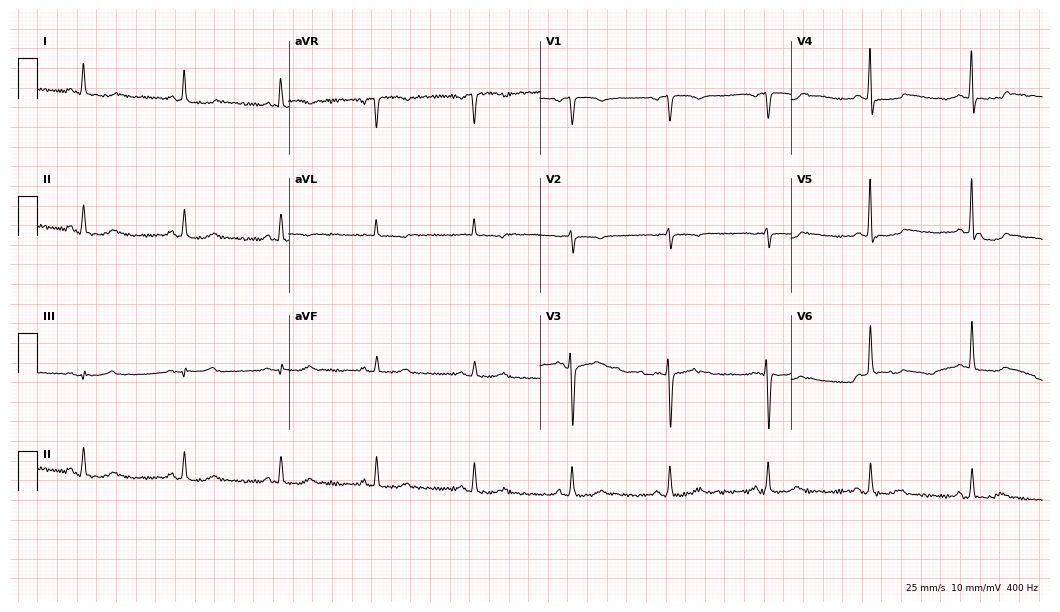
ECG (10.2-second recording at 400 Hz) — a 60-year-old woman. Screened for six findings — first-degree AV block, right bundle branch block, left bundle branch block, sinus bradycardia, atrial fibrillation, sinus tachycardia — none is recorded.